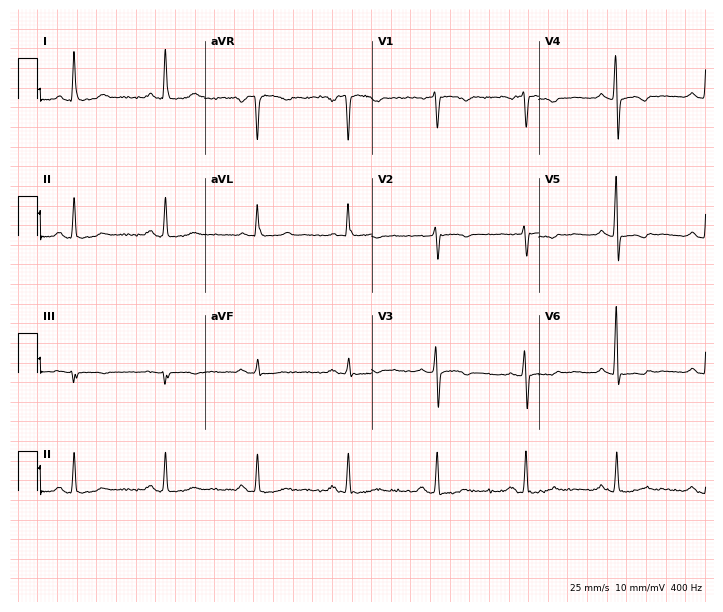
Electrocardiogram, a 52-year-old female patient. Of the six screened findings (first-degree AV block, right bundle branch block (RBBB), left bundle branch block (LBBB), sinus bradycardia, atrial fibrillation (AF), sinus tachycardia), none is recorded.